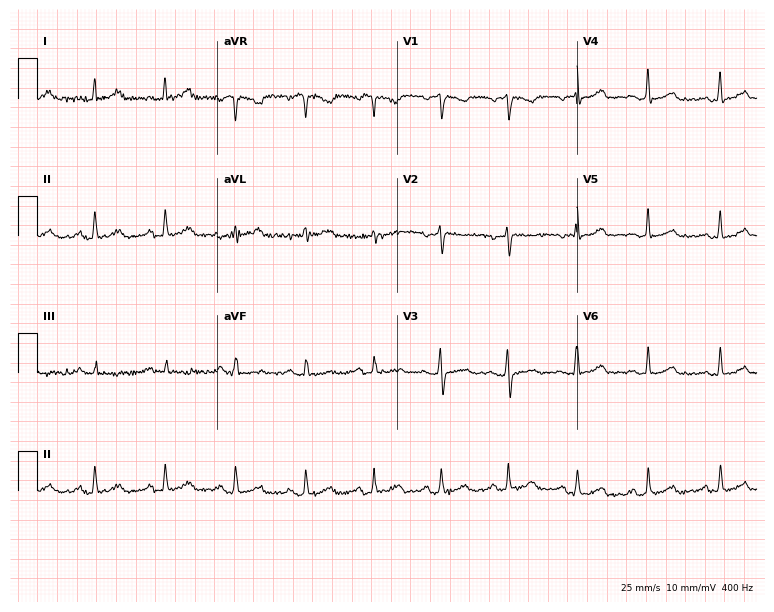
Electrocardiogram, a female, 38 years old. Overall reading on record: normal ECG.